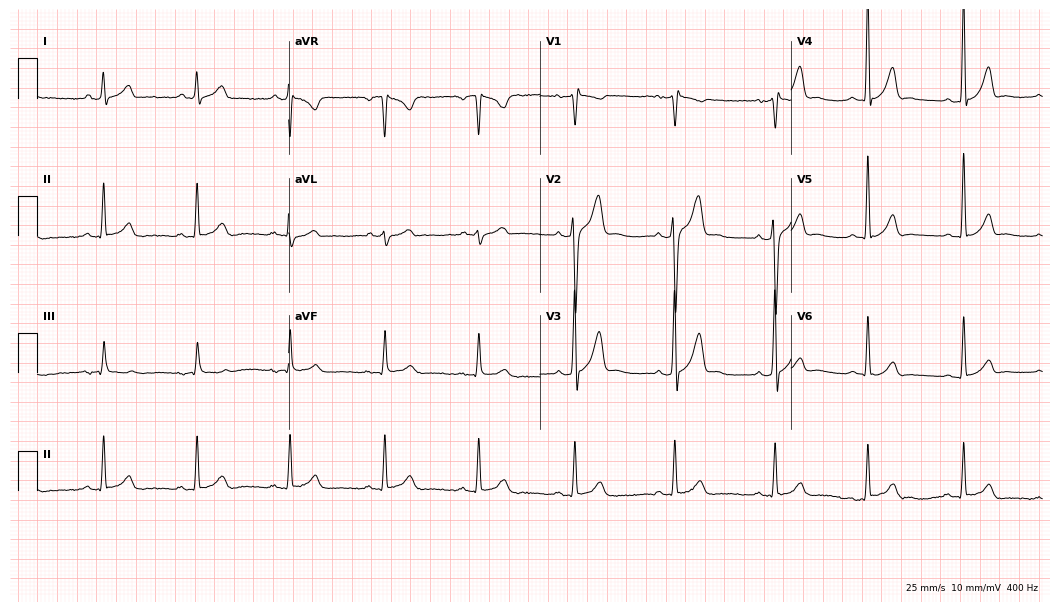
ECG (10.2-second recording at 400 Hz) — a 39-year-old male. Labelled as a normal ECG.